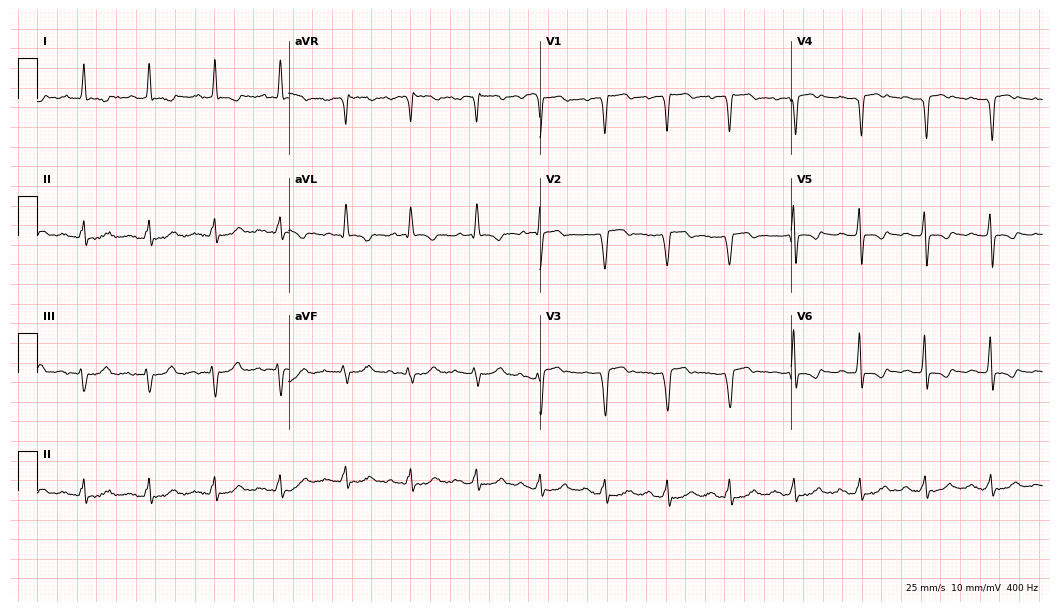
Standard 12-lead ECG recorded from a 66-year-old female (10.2-second recording at 400 Hz). None of these six findings is recorded: first-degree AV block, right bundle branch block, left bundle branch block, sinus bradycardia, atrial fibrillation, sinus tachycardia.